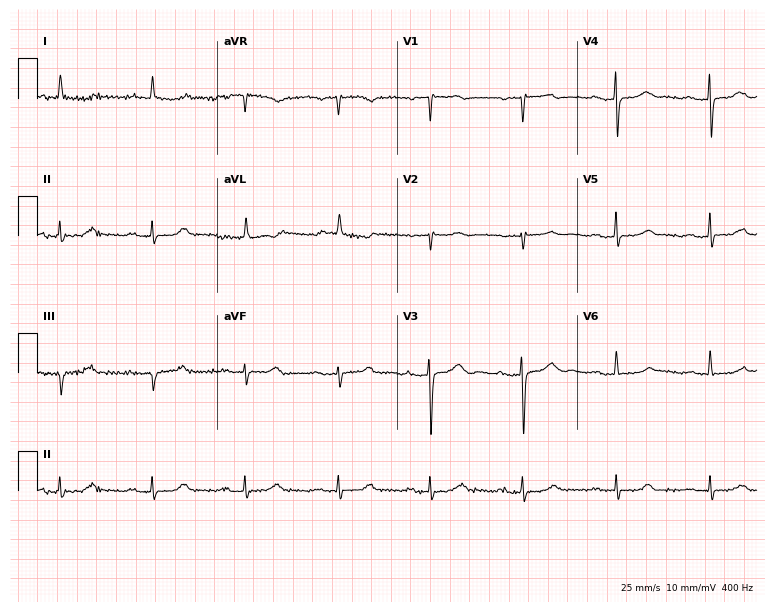
12-lead ECG (7.3-second recording at 400 Hz) from a 77-year-old female. Findings include first-degree AV block.